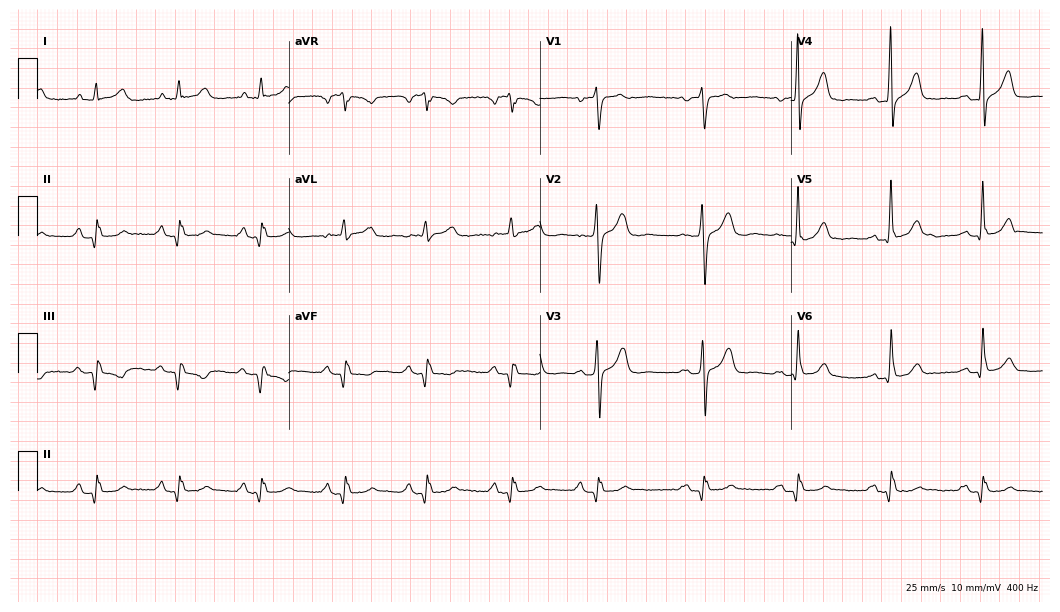
12-lead ECG from a male patient, 75 years old. No first-degree AV block, right bundle branch block, left bundle branch block, sinus bradycardia, atrial fibrillation or sinus tachycardia recorded for this tracing. Only these six findings were labelled.